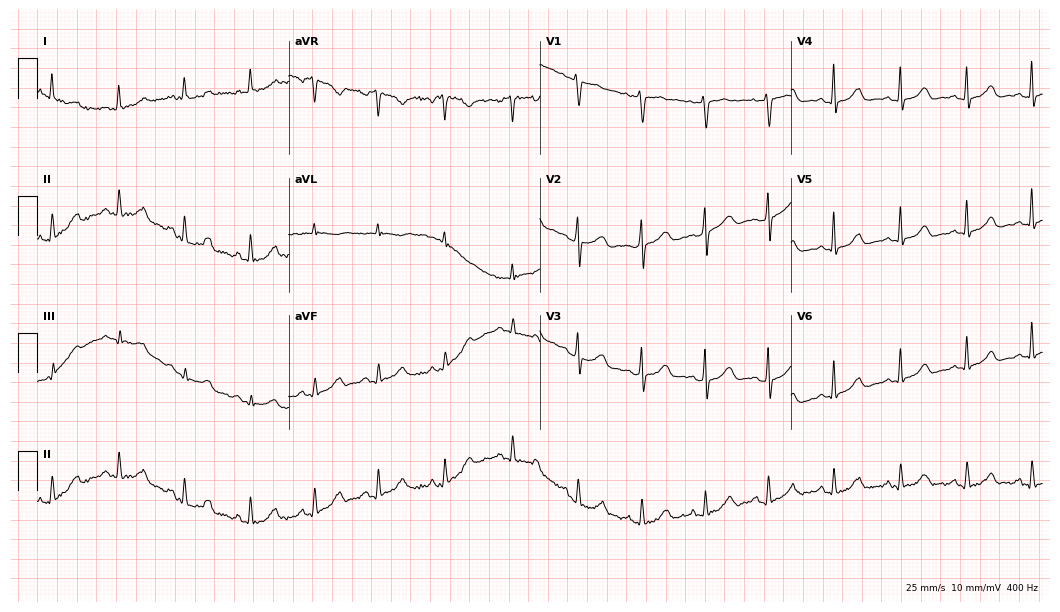
12-lead ECG from a woman, 47 years old (10.2-second recording at 400 Hz). Recorded interpretation: within normal limits.